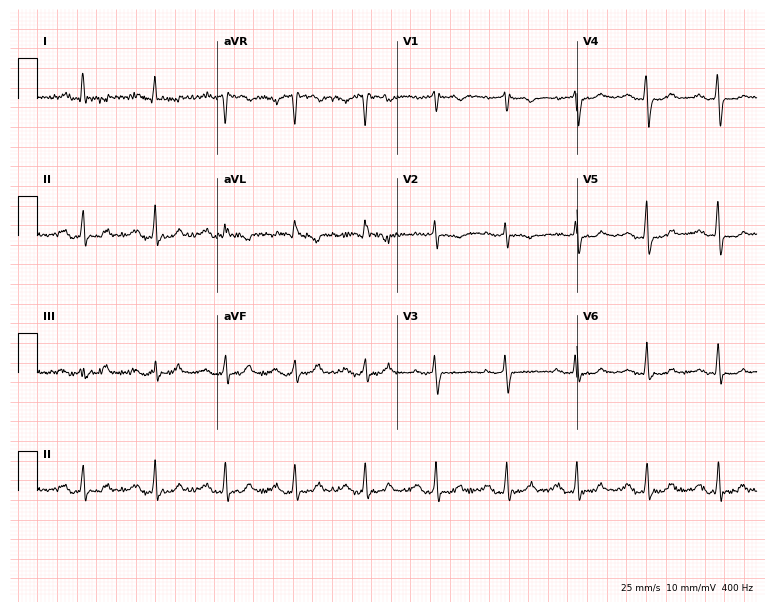
ECG — a female patient, 69 years old. Findings include first-degree AV block.